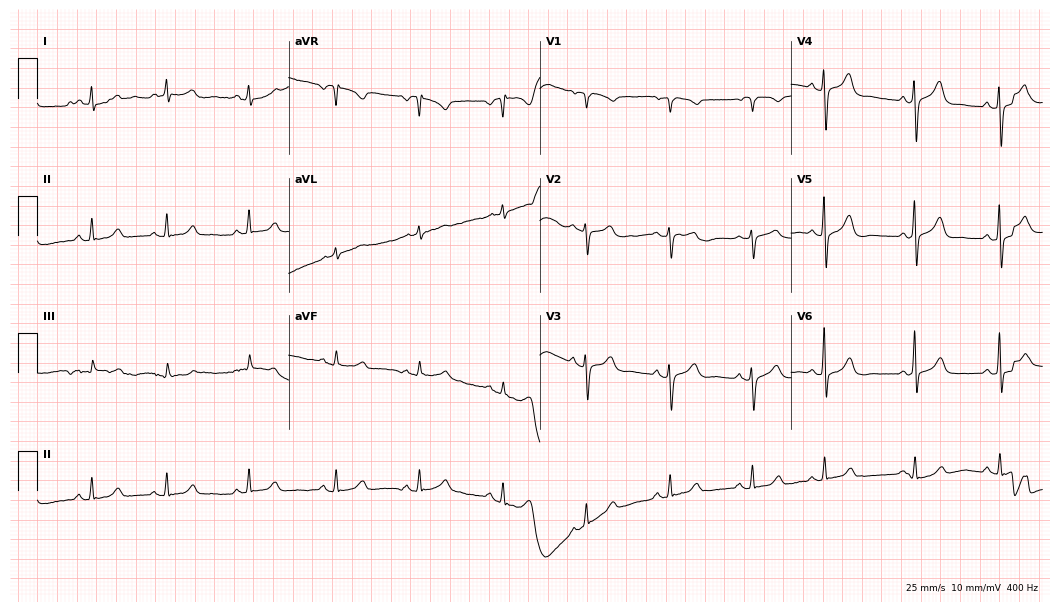
Electrocardiogram (10.2-second recording at 400 Hz), a 55-year-old female patient. Overall reading on record: normal ECG.